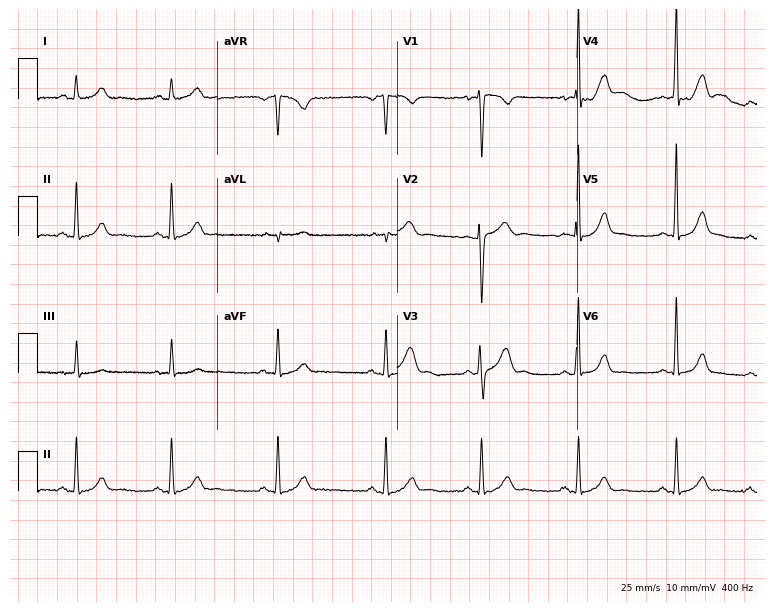
12-lead ECG from a man, 20 years old. Recorded interpretation: within normal limits.